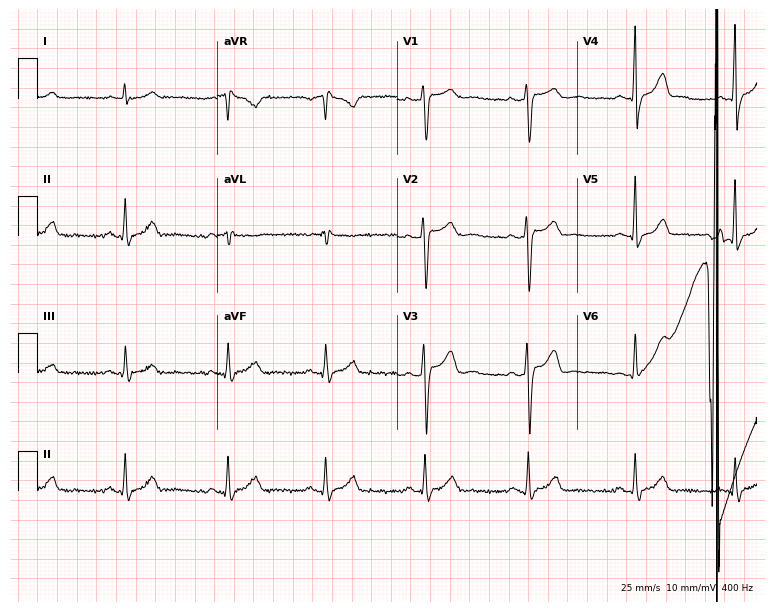
12-lead ECG from a 38-year-old man. No first-degree AV block, right bundle branch block, left bundle branch block, sinus bradycardia, atrial fibrillation or sinus tachycardia recorded for this tracing. Other findings, if any, are not listed.